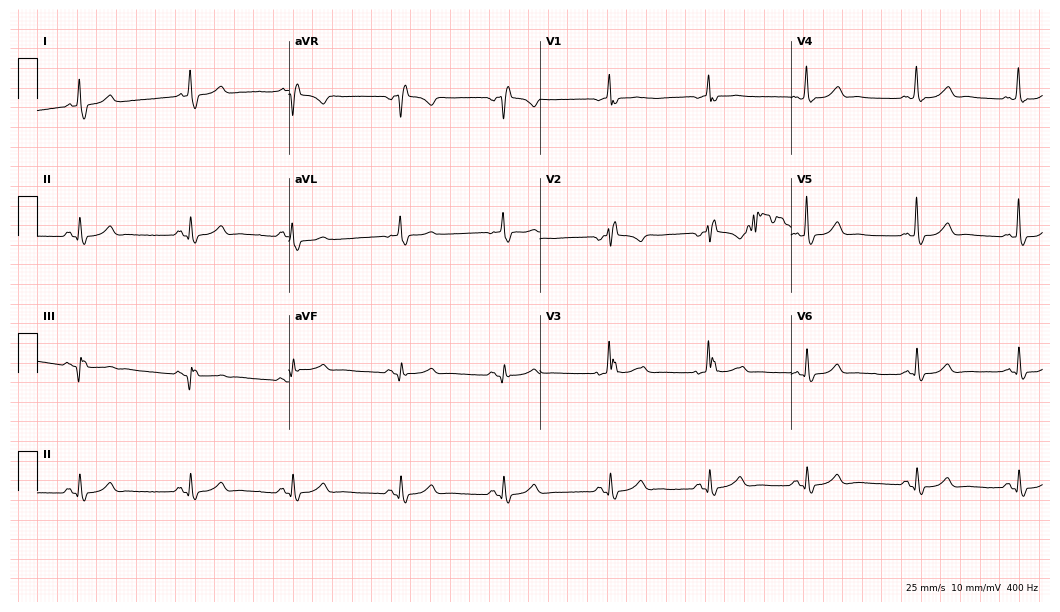
12-lead ECG from a woman, 57 years old. Screened for six findings — first-degree AV block, right bundle branch block, left bundle branch block, sinus bradycardia, atrial fibrillation, sinus tachycardia — none is recorded.